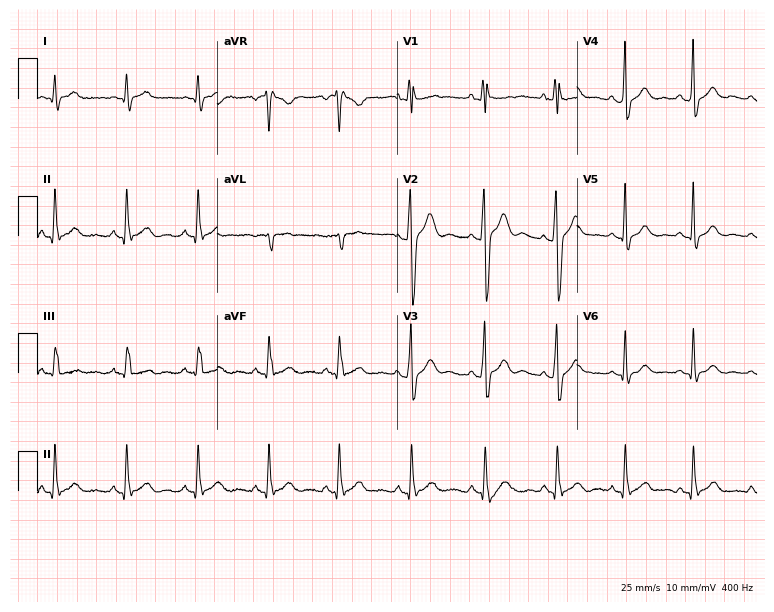
12-lead ECG from a 17-year-old man (7.3-second recording at 400 Hz). Recorded interpretation: within normal limits.